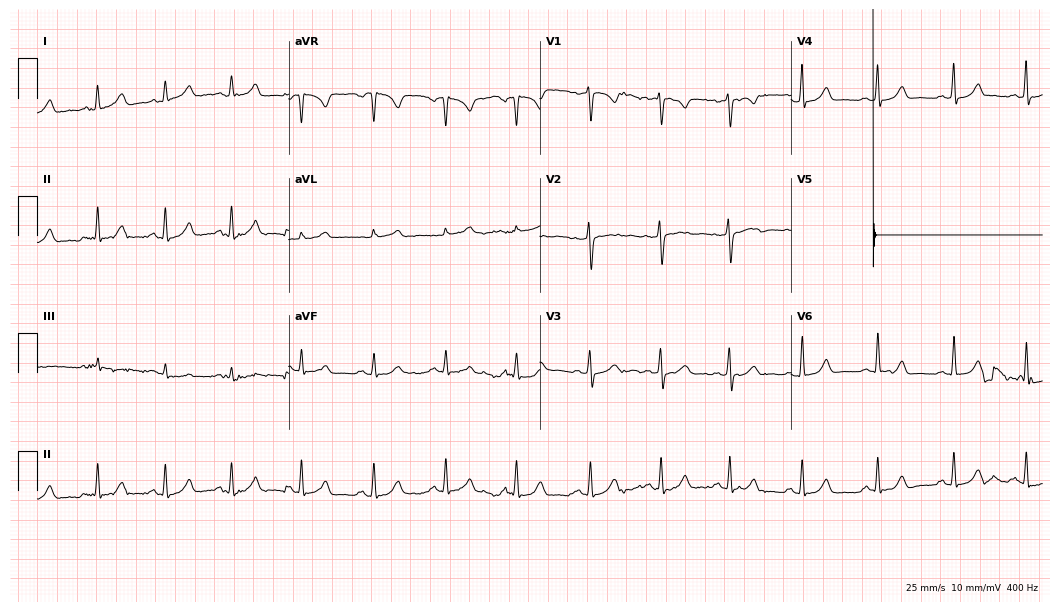
Standard 12-lead ECG recorded from a 39-year-old woman. None of these six findings is recorded: first-degree AV block, right bundle branch block, left bundle branch block, sinus bradycardia, atrial fibrillation, sinus tachycardia.